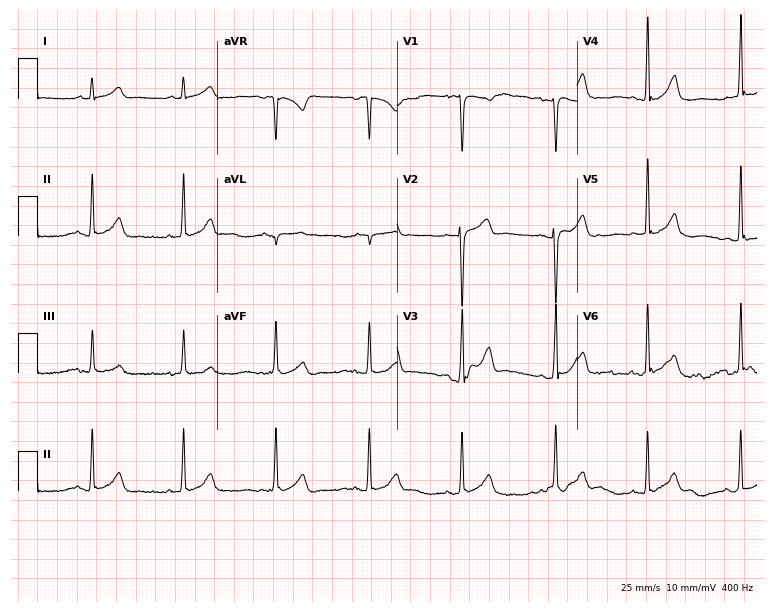
12-lead ECG from a 25-year-old male (7.3-second recording at 400 Hz). No first-degree AV block, right bundle branch block, left bundle branch block, sinus bradycardia, atrial fibrillation or sinus tachycardia recorded for this tracing.